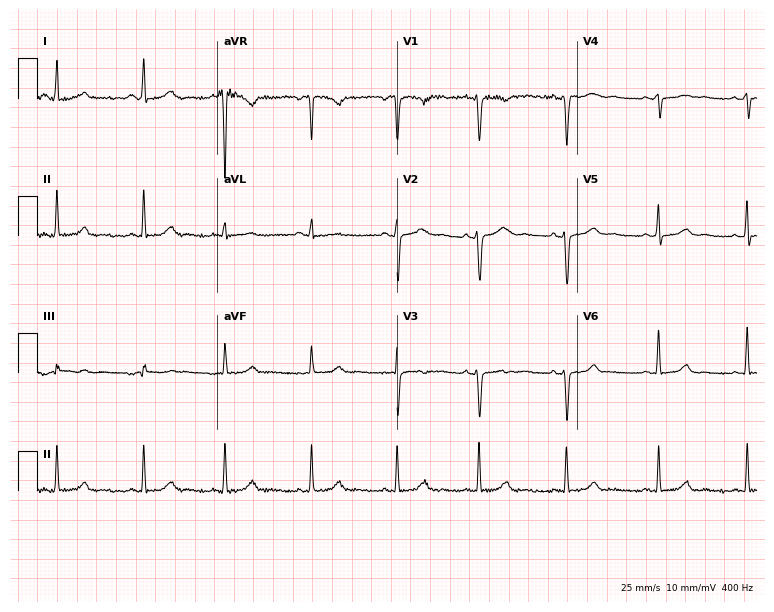
Electrocardiogram, a female patient, 28 years old. Overall reading on record: normal ECG.